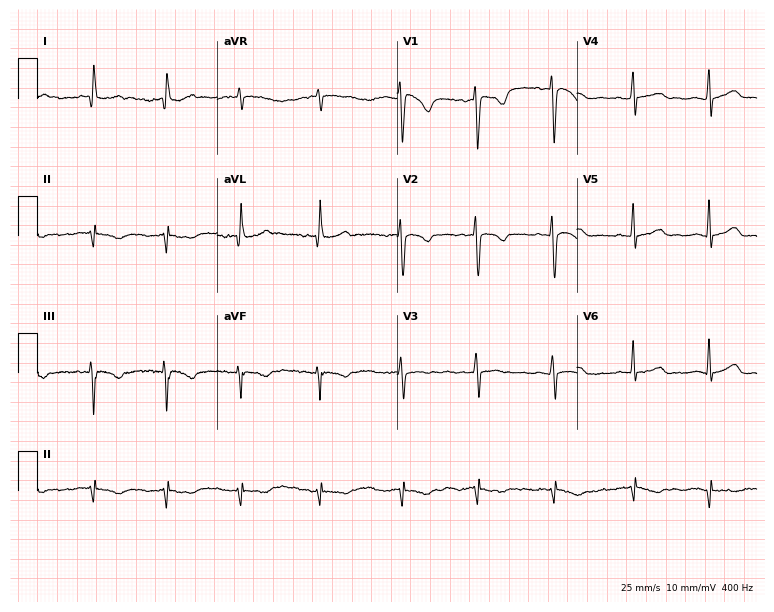
12-lead ECG from a 33-year-old female patient. Labelled as a normal ECG.